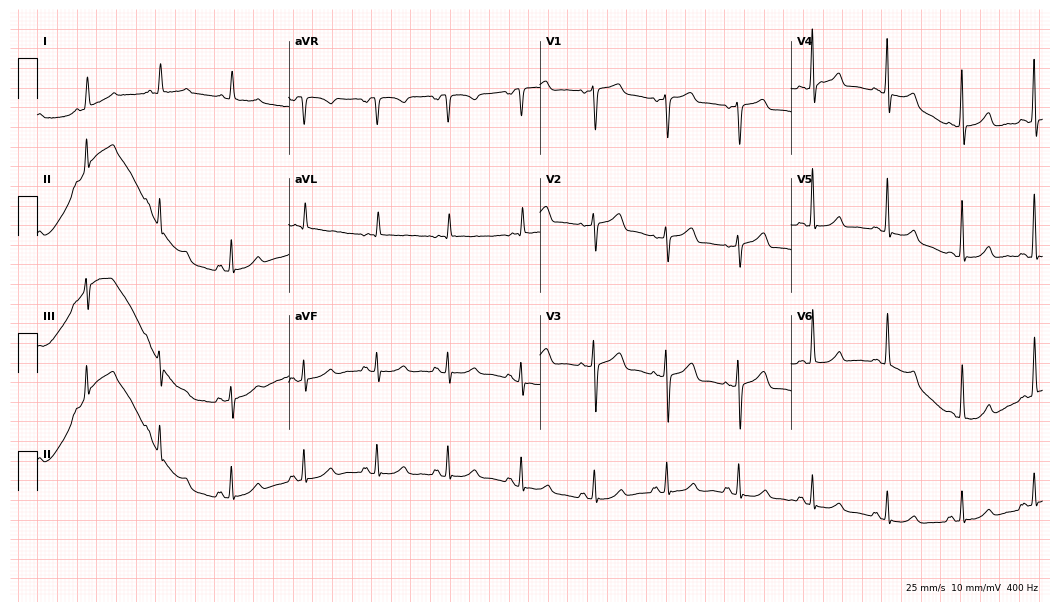
ECG (10.2-second recording at 400 Hz) — a 60-year-old female patient. Screened for six findings — first-degree AV block, right bundle branch block, left bundle branch block, sinus bradycardia, atrial fibrillation, sinus tachycardia — none is recorded.